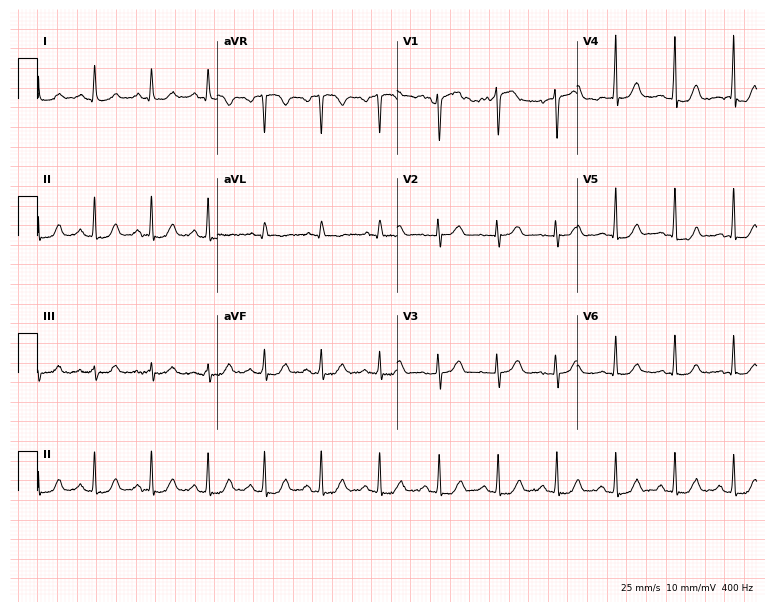
ECG — a 44-year-old woman. Findings include sinus tachycardia (a sinus rate of 100 beats per minute or more).